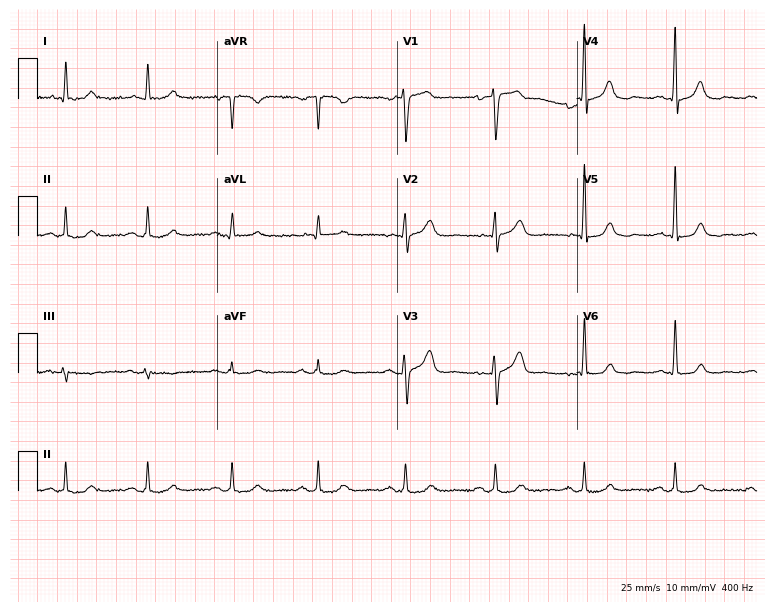
12-lead ECG from a man, 81 years old. Labelled as a normal ECG.